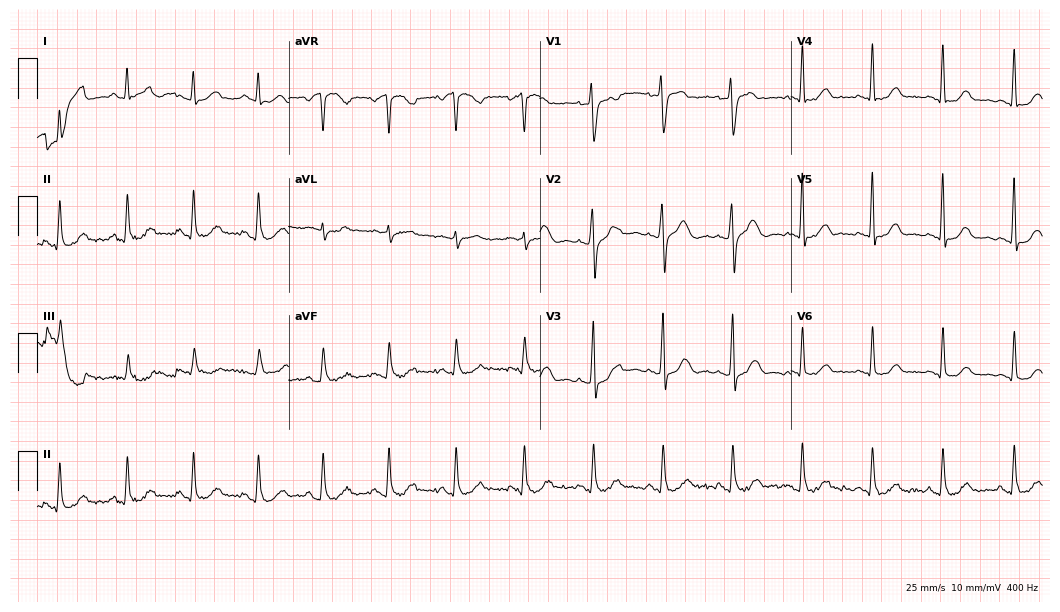
ECG (10.2-second recording at 400 Hz) — a man, 38 years old. Labelled as a normal ECG.